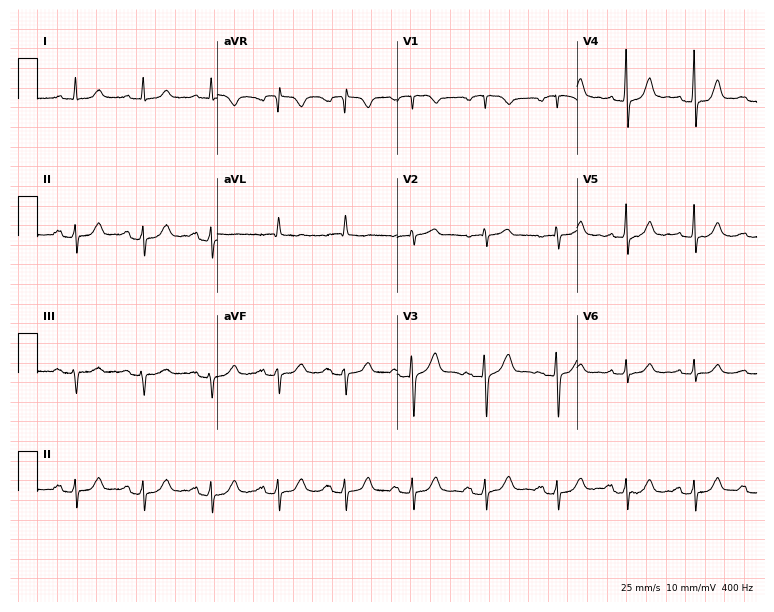
Resting 12-lead electrocardiogram (7.3-second recording at 400 Hz). Patient: a female, 72 years old. Read as a normal ECG.